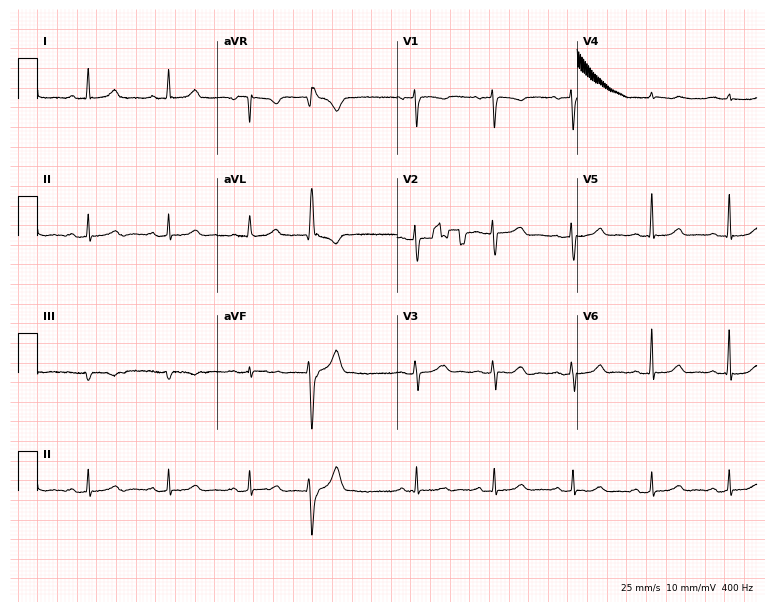
Resting 12-lead electrocardiogram. Patient: a female, 52 years old. None of these six findings is recorded: first-degree AV block, right bundle branch block, left bundle branch block, sinus bradycardia, atrial fibrillation, sinus tachycardia. Only these six findings were labelled.